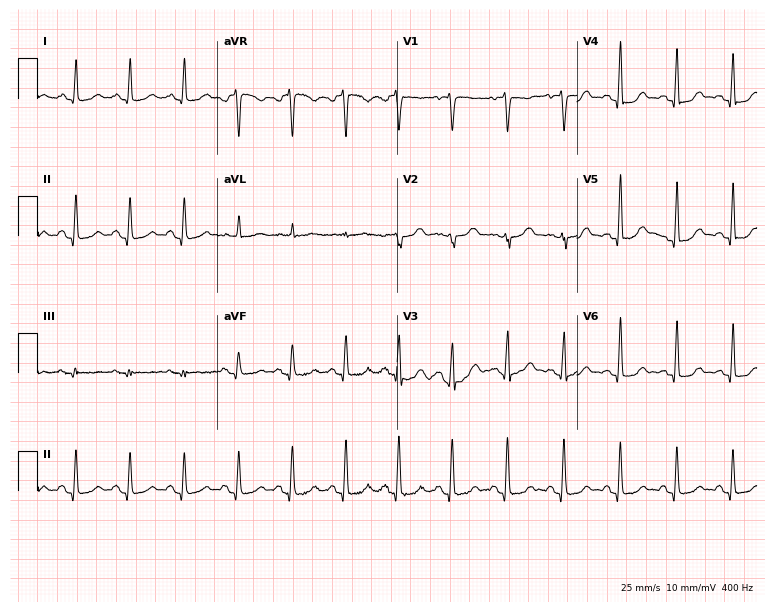
ECG — a female patient, 77 years old. Findings include sinus tachycardia (a sinus rate of 100 beats per minute or more).